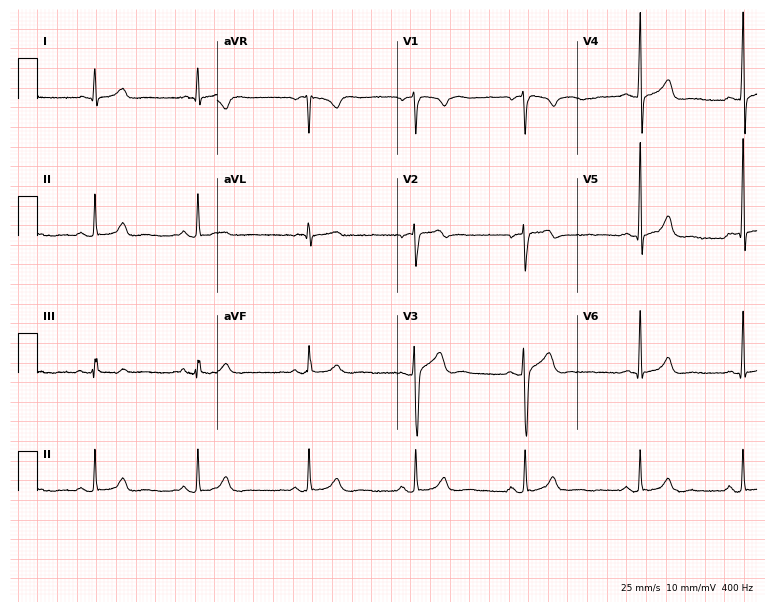
ECG (7.3-second recording at 400 Hz) — a 25-year-old man. Screened for six findings — first-degree AV block, right bundle branch block (RBBB), left bundle branch block (LBBB), sinus bradycardia, atrial fibrillation (AF), sinus tachycardia — none is recorded.